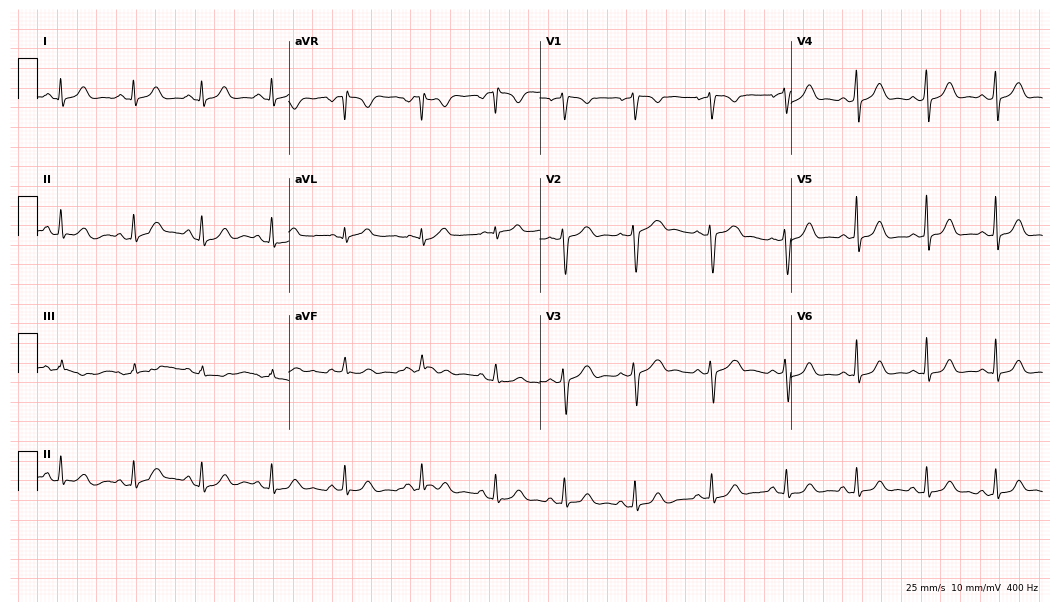
12-lead ECG from a 28-year-old female (10.2-second recording at 400 Hz). Recorded interpretation: within normal limits.